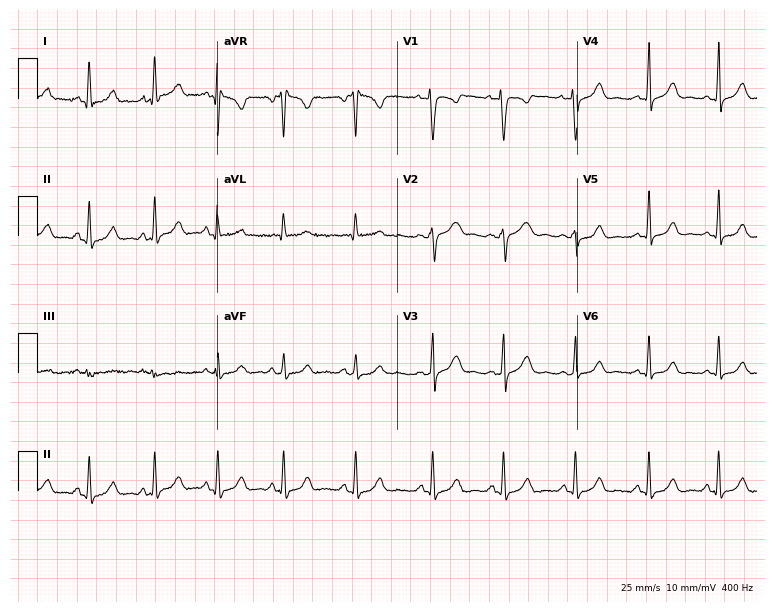
12-lead ECG from a 23-year-old female (7.3-second recording at 400 Hz). No first-degree AV block, right bundle branch block (RBBB), left bundle branch block (LBBB), sinus bradycardia, atrial fibrillation (AF) or sinus tachycardia recorded for this tracing. Only these six findings were labelled.